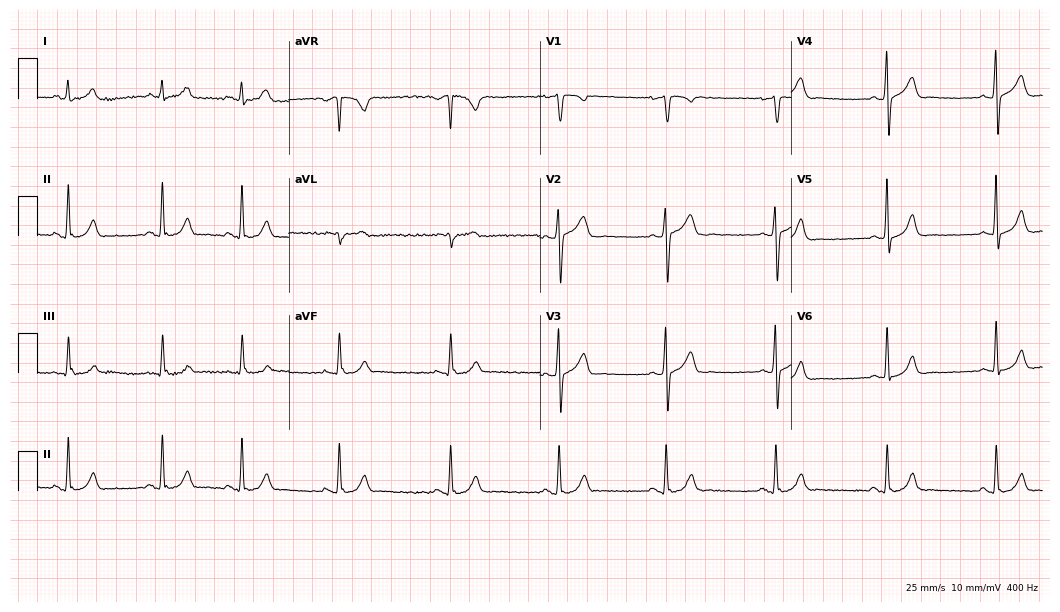
Standard 12-lead ECG recorded from a female patient, 23 years old (10.2-second recording at 400 Hz). Read as a normal ECG.